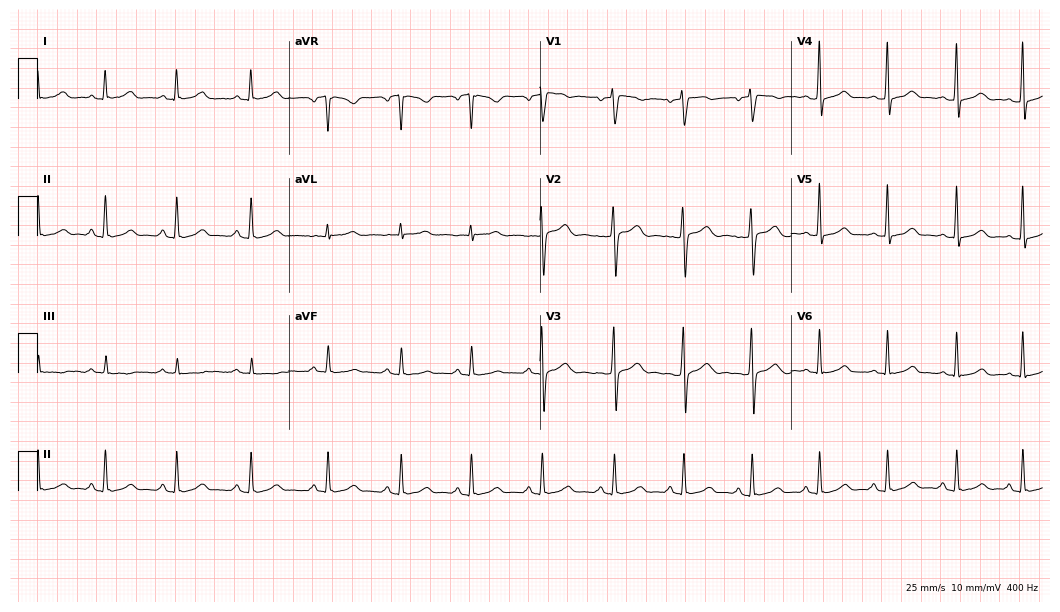
Standard 12-lead ECG recorded from a 20-year-old female. Read as a normal ECG.